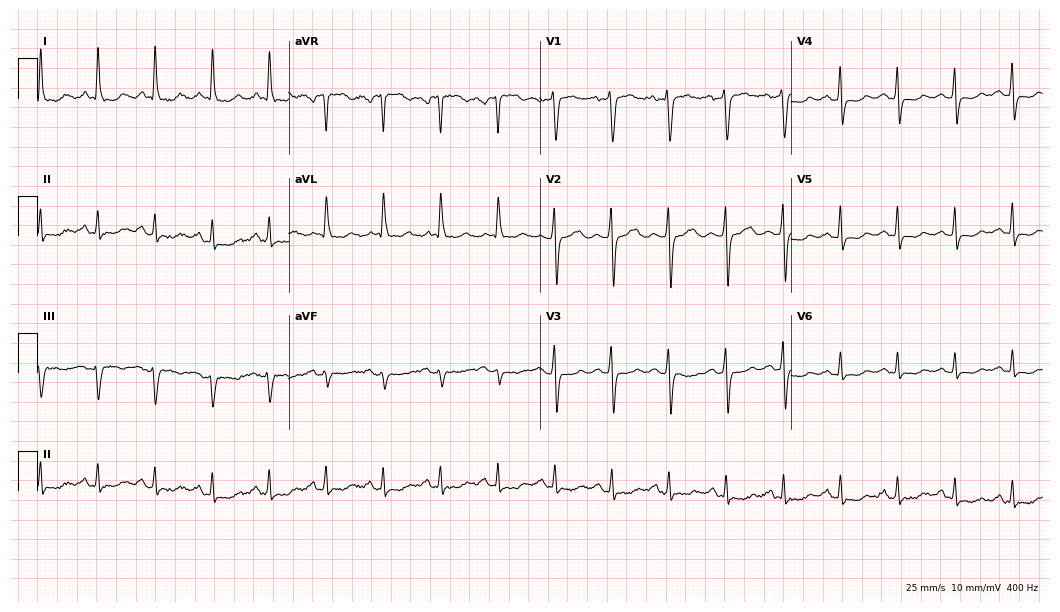
Electrocardiogram (10.2-second recording at 400 Hz), a female, 64 years old. Of the six screened findings (first-degree AV block, right bundle branch block, left bundle branch block, sinus bradycardia, atrial fibrillation, sinus tachycardia), none is recorded. Findings outside these six are not listed.